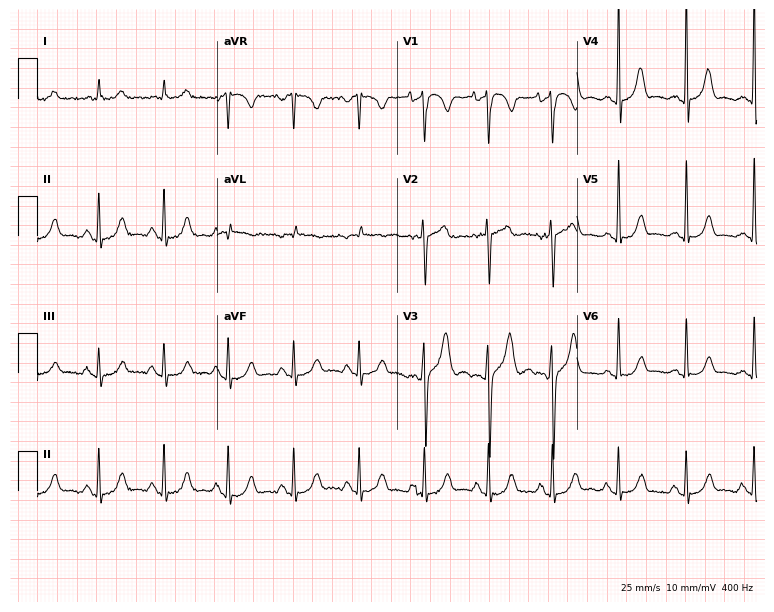
ECG (7.3-second recording at 400 Hz) — a 68-year-old man. Screened for six findings — first-degree AV block, right bundle branch block (RBBB), left bundle branch block (LBBB), sinus bradycardia, atrial fibrillation (AF), sinus tachycardia — none is recorded.